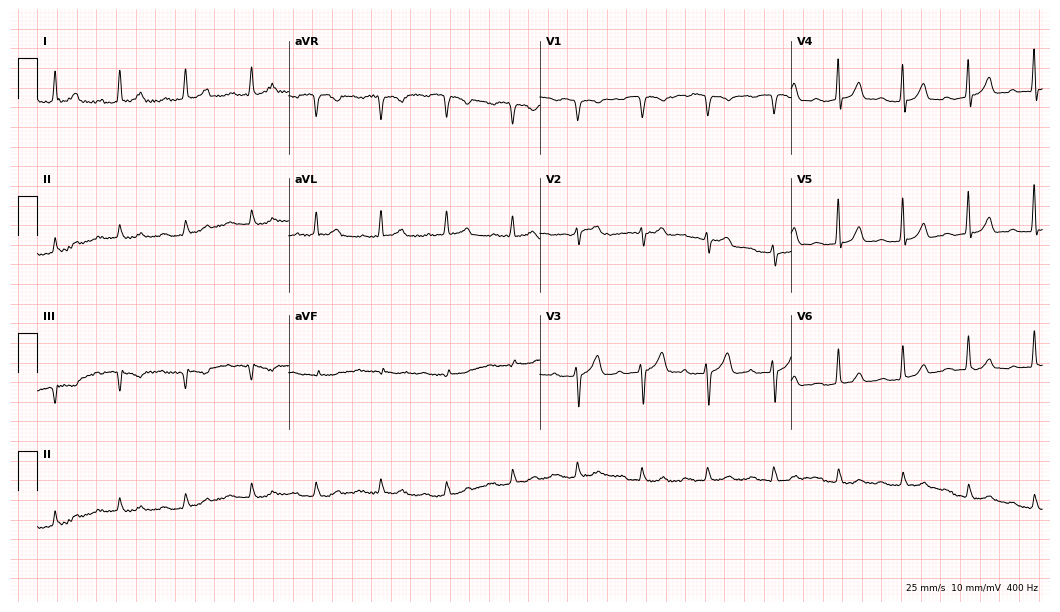
ECG (10.2-second recording at 400 Hz) — a man, 61 years old. Screened for six findings — first-degree AV block, right bundle branch block, left bundle branch block, sinus bradycardia, atrial fibrillation, sinus tachycardia — none is recorded.